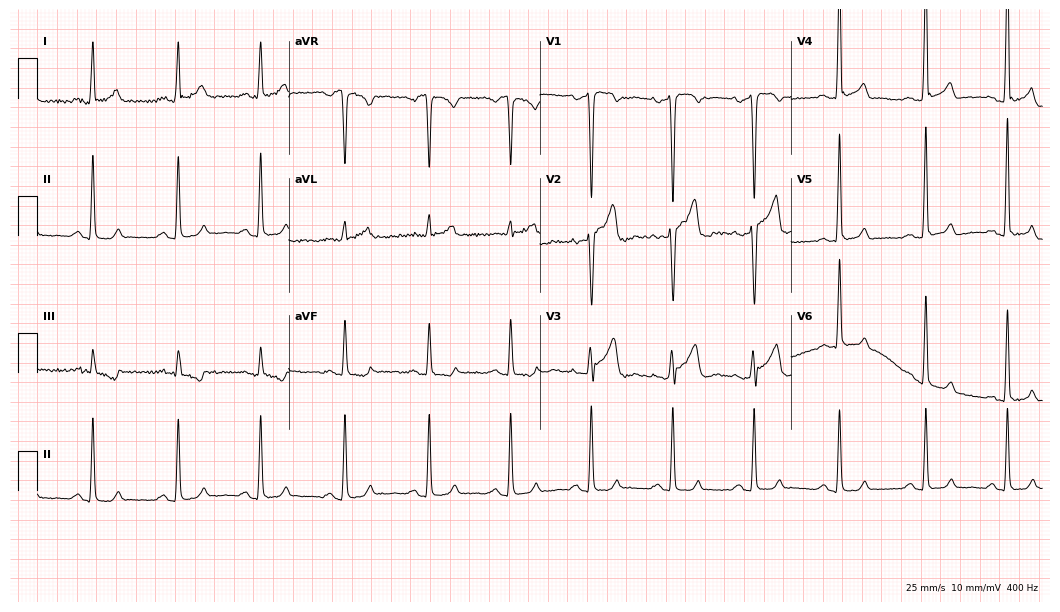
12-lead ECG from a 35-year-old man. No first-degree AV block, right bundle branch block, left bundle branch block, sinus bradycardia, atrial fibrillation or sinus tachycardia recorded for this tracing.